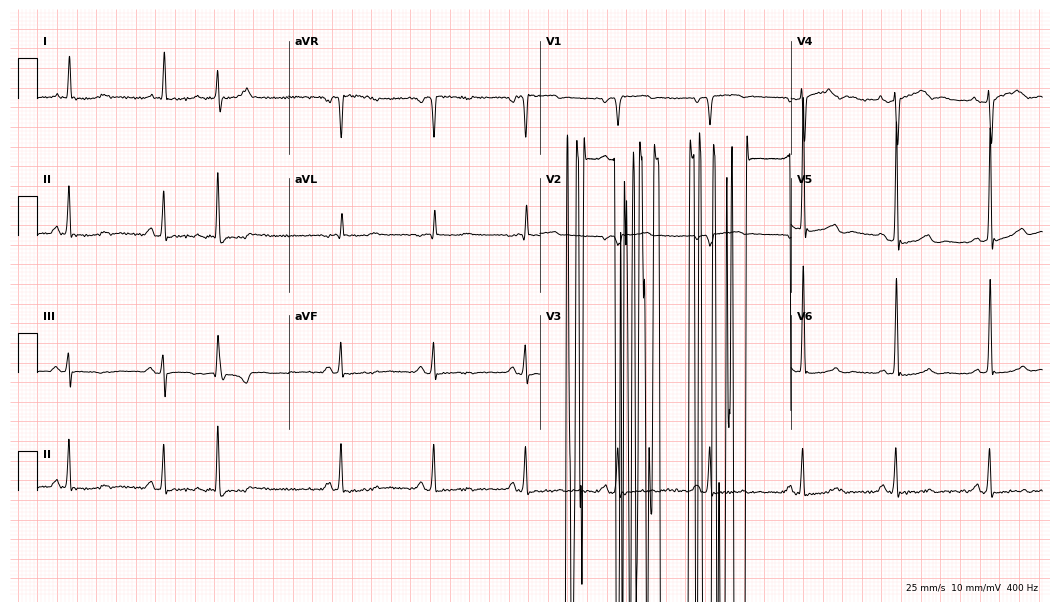
Standard 12-lead ECG recorded from a male, 70 years old (10.2-second recording at 400 Hz). None of these six findings is recorded: first-degree AV block, right bundle branch block, left bundle branch block, sinus bradycardia, atrial fibrillation, sinus tachycardia.